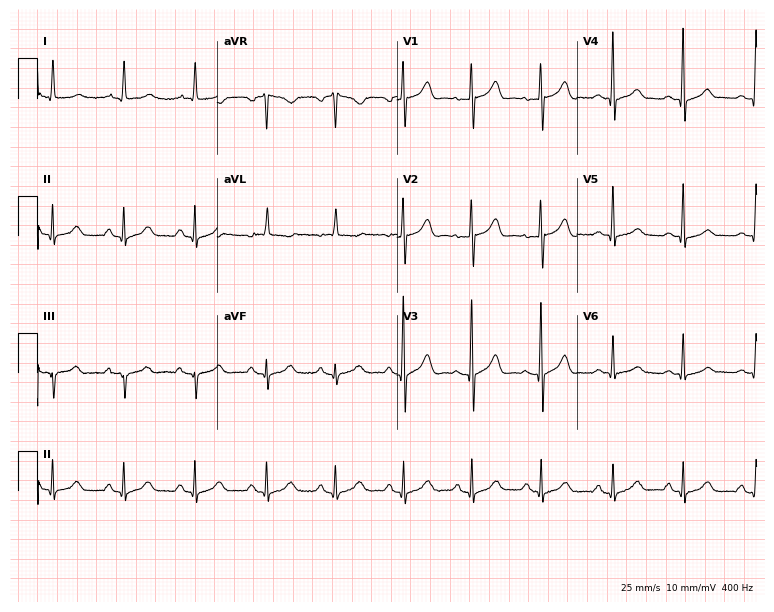
12-lead ECG from a female patient, 75 years old (7.3-second recording at 400 Hz). Recorded interpretation: within normal limits.